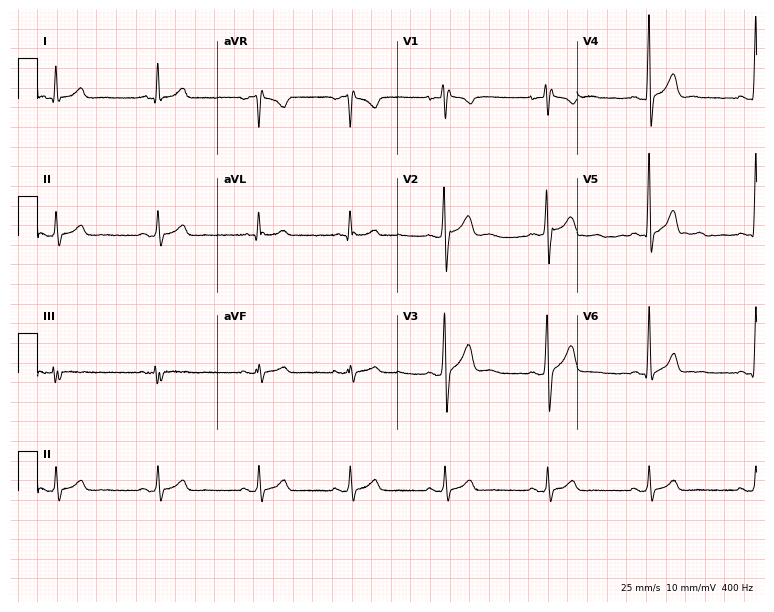
ECG — a male, 32 years old. Screened for six findings — first-degree AV block, right bundle branch block, left bundle branch block, sinus bradycardia, atrial fibrillation, sinus tachycardia — none is recorded.